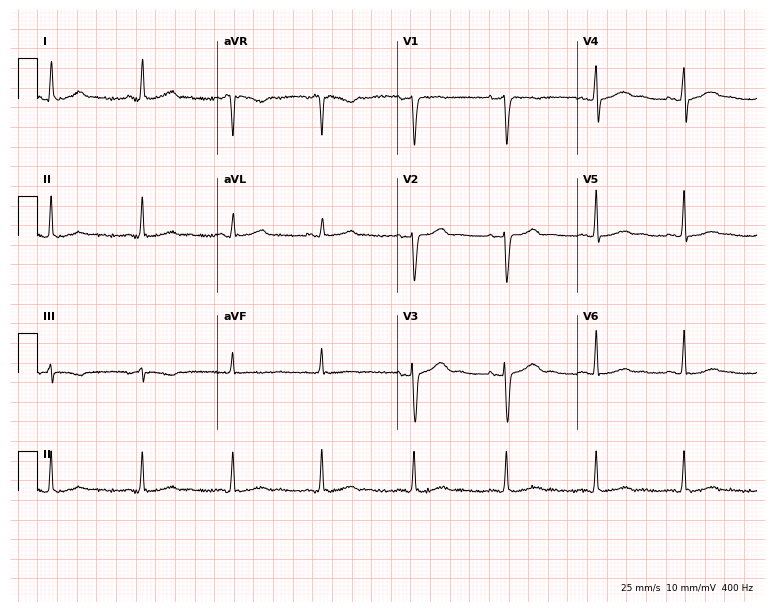
12-lead ECG from a 31-year-old female. Screened for six findings — first-degree AV block, right bundle branch block (RBBB), left bundle branch block (LBBB), sinus bradycardia, atrial fibrillation (AF), sinus tachycardia — none is recorded.